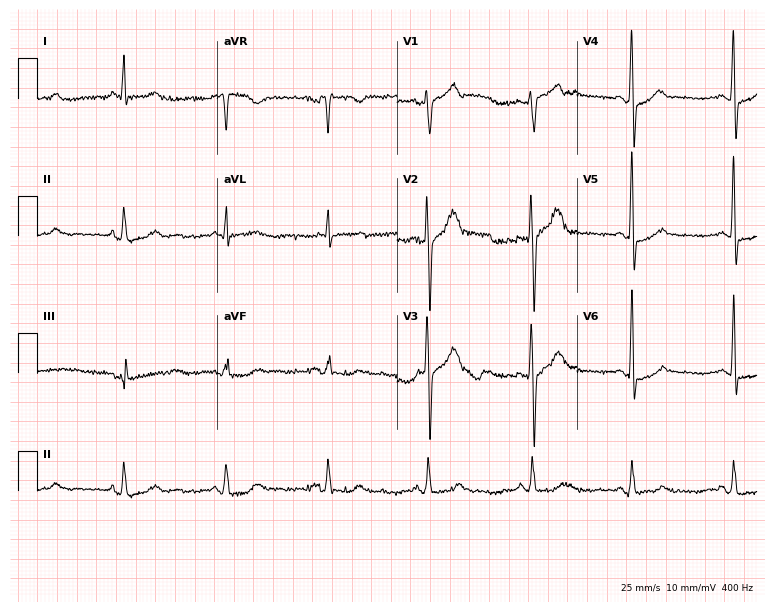
ECG — a male patient, 49 years old. Labelled as a normal ECG.